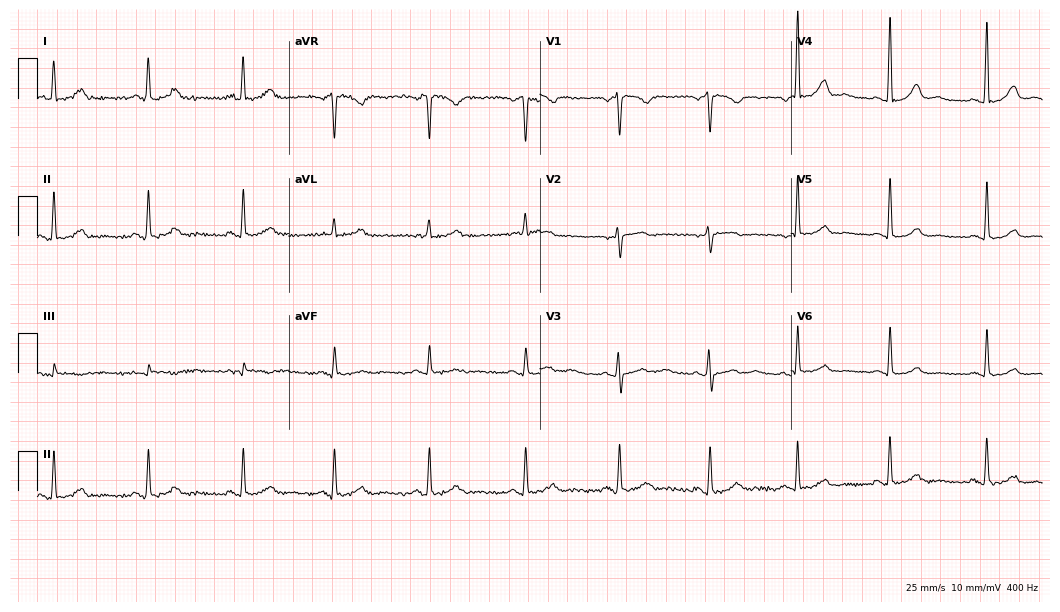
12-lead ECG (10.2-second recording at 400 Hz) from a female, 54 years old. Screened for six findings — first-degree AV block, right bundle branch block, left bundle branch block, sinus bradycardia, atrial fibrillation, sinus tachycardia — none is recorded. Findings outside these six are not listed.